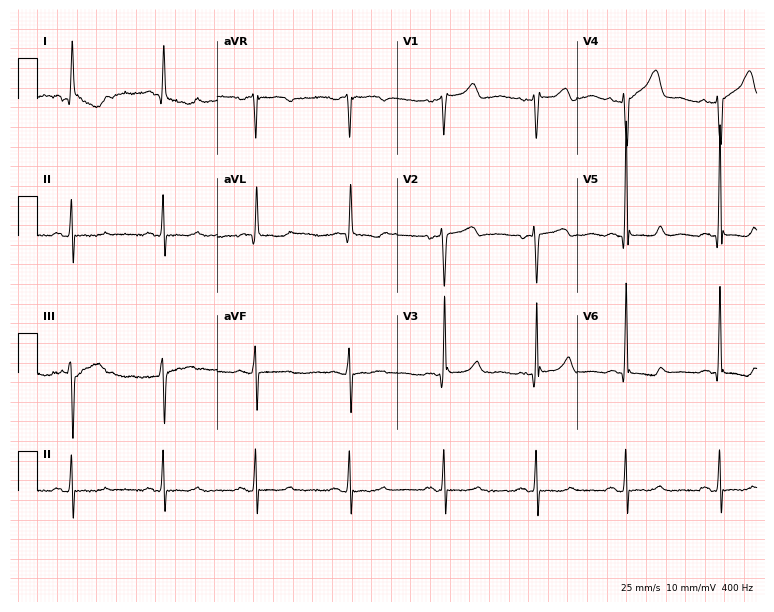
Standard 12-lead ECG recorded from a 79-year-old female. None of these six findings is recorded: first-degree AV block, right bundle branch block (RBBB), left bundle branch block (LBBB), sinus bradycardia, atrial fibrillation (AF), sinus tachycardia. Only these six findings were labelled.